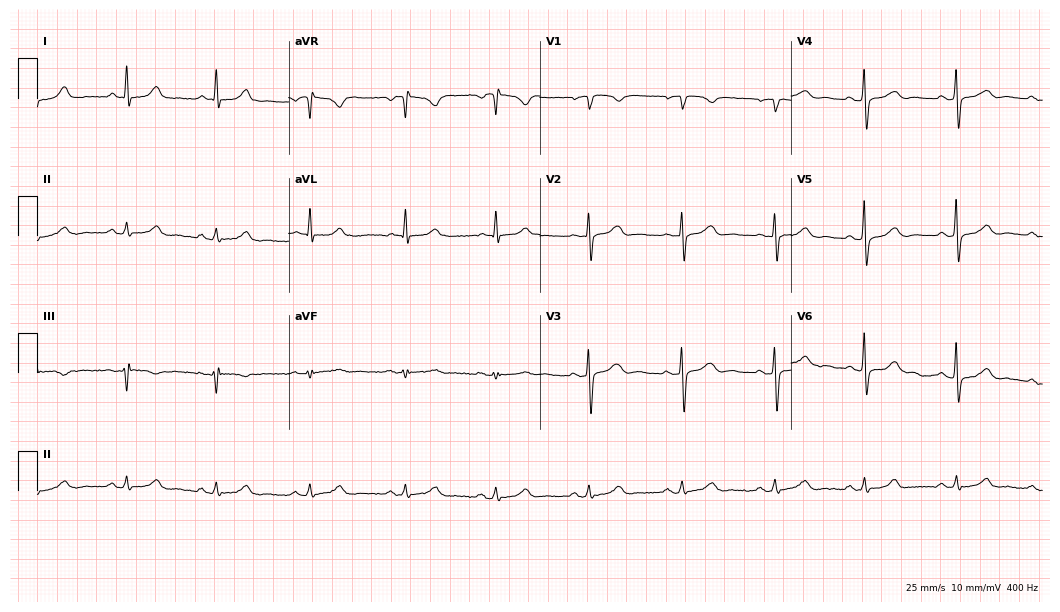
12-lead ECG (10.2-second recording at 400 Hz) from a 34-year-old female patient. Labelled as a normal ECG.